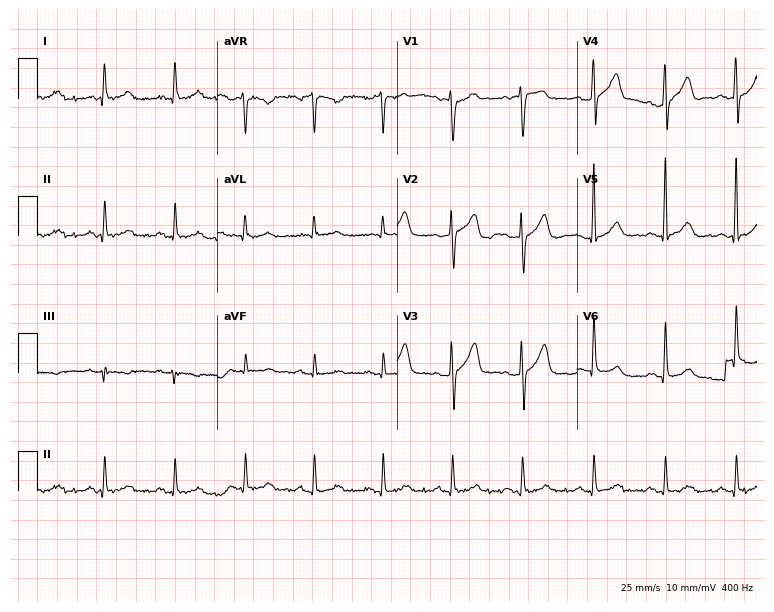
12-lead ECG (7.3-second recording at 400 Hz) from a male, 60 years old. Screened for six findings — first-degree AV block, right bundle branch block, left bundle branch block, sinus bradycardia, atrial fibrillation, sinus tachycardia — none is recorded. Findings outside these six are not listed.